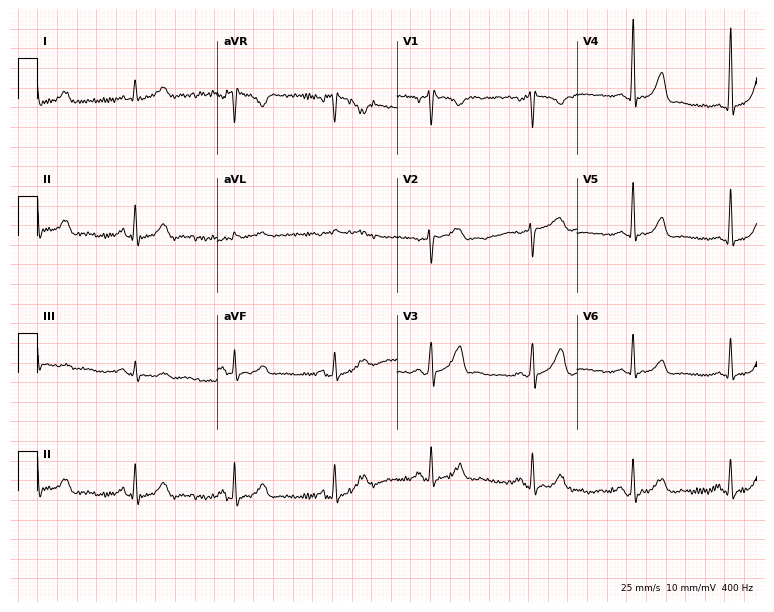
Resting 12-lead electrocardiogram (7.3-second recording at 400 Hz). Patient: a 52-year-old female. None of these six findings is recorded: first-degree AV block, right bundle branch block, left bundle branch block, sinus bradycardia, atrial fibrillation, sinus tachycardia. Other findings, if any, are not listed.